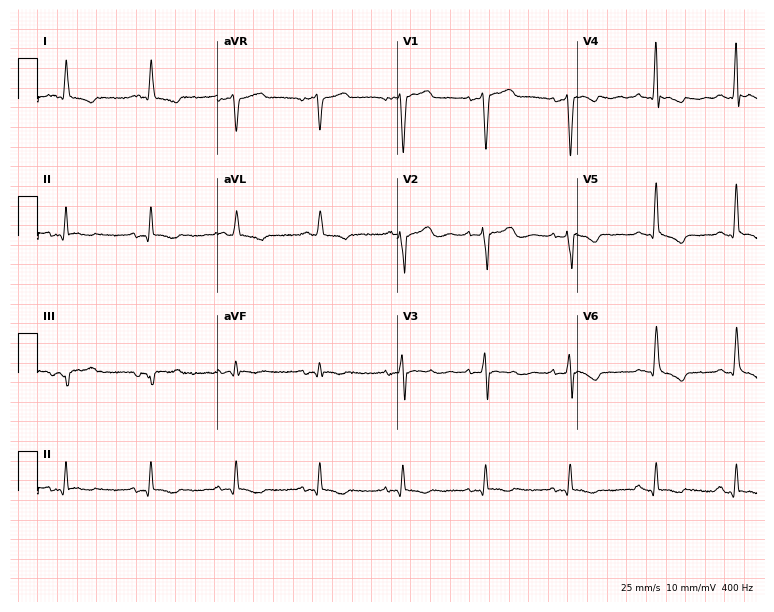
12-lead ECG from a male patient, 64 years old. No first-degree AV block, right bundle branch block, left bundle branch block, sinus bradycardia, atrial fibrillation or sinus tachycardia recorded for this tracing. Other findings, if any, are not listed.